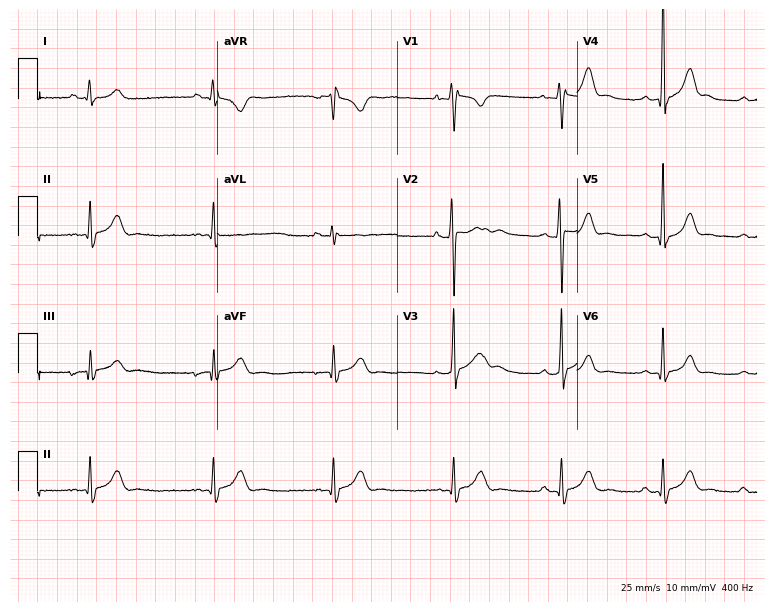
Resting 12-lead electrocardiogram. Patient: a man, 17 years old. Read as a normal ECG.